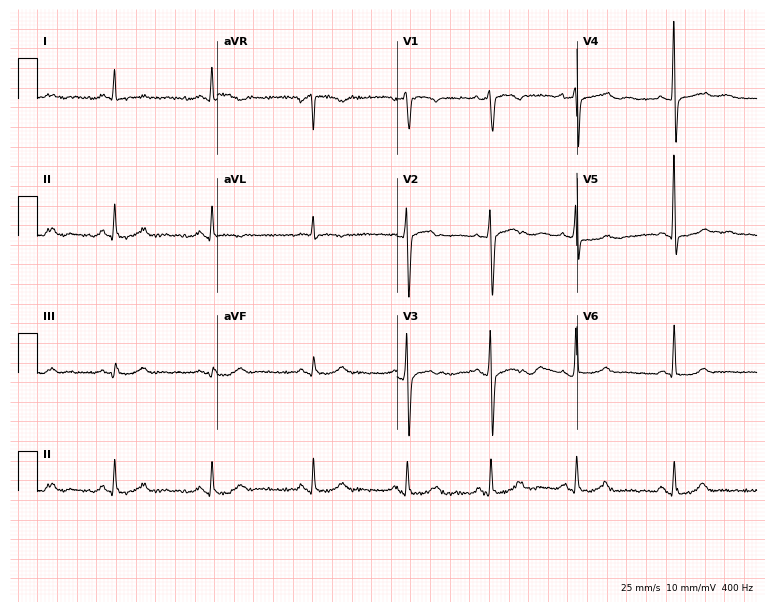
Electrocardiogram, a 35-year-old female patient. Of the six screened findings (first-degree AV block, right bundle branch block, left bundle branch block, sinus bradycardia, atrial fibrillation, sinus tachycardia), none is recorded.